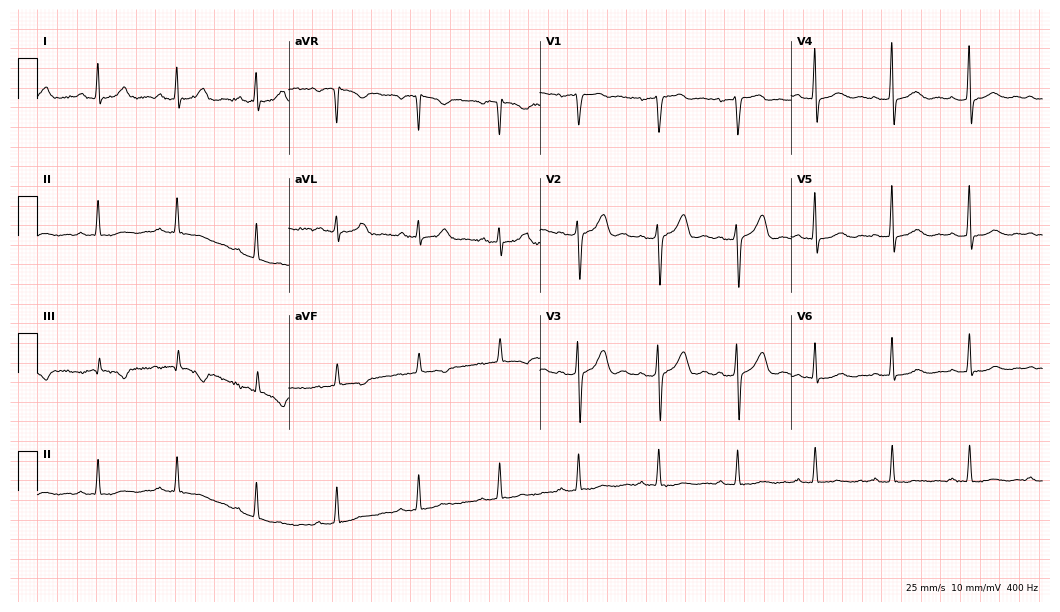
Standard 12-lead ECG recorded from a female patient, 50 years old (10.2-second recording at 400 Hz). None of these six findings is recorded: first-degree AV block, right bundle branch block, left bundle branch block, sinus bradycardia, atrial fibrillation, sinus tachycardia. Other findings, if any, are not listed.